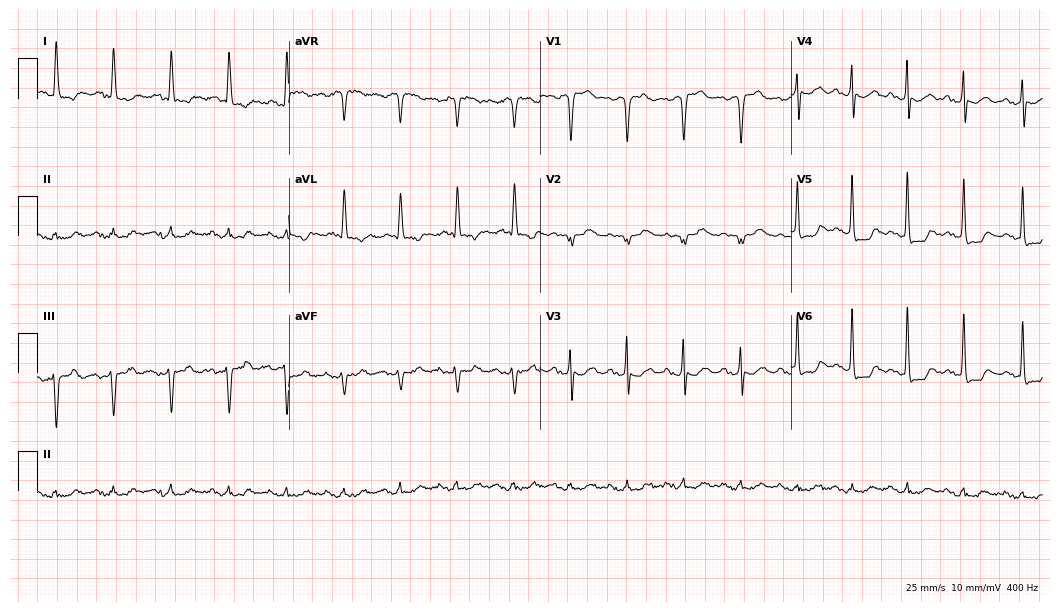
Resting 12-lead electrocardiogram. Patient: a female, 85 years old. None of these six findings is recorded: first-degree AV block, right bundle branch block, left bundle branch block, sinus bradycardia, atrial fibrillation, sinus tachycardia.